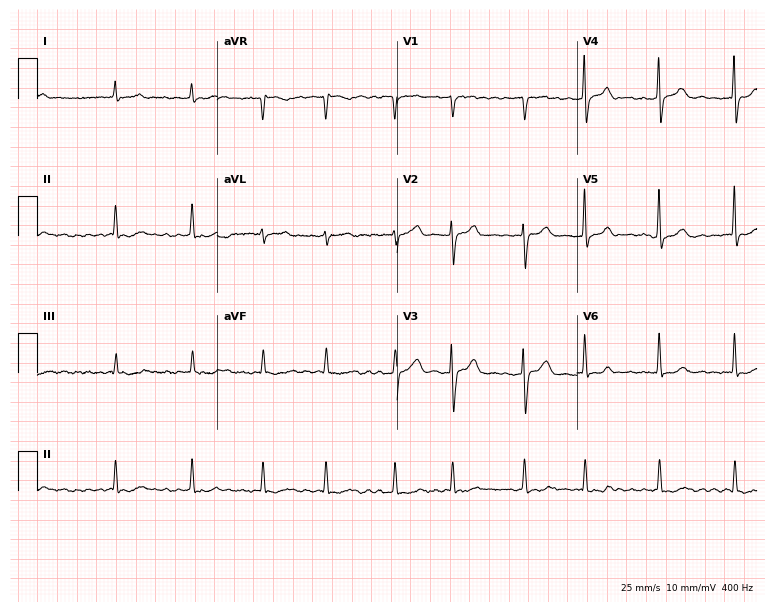
Electrocardiogram, an 82-year-old male patient. Interpretation includes atrial fibrillation.